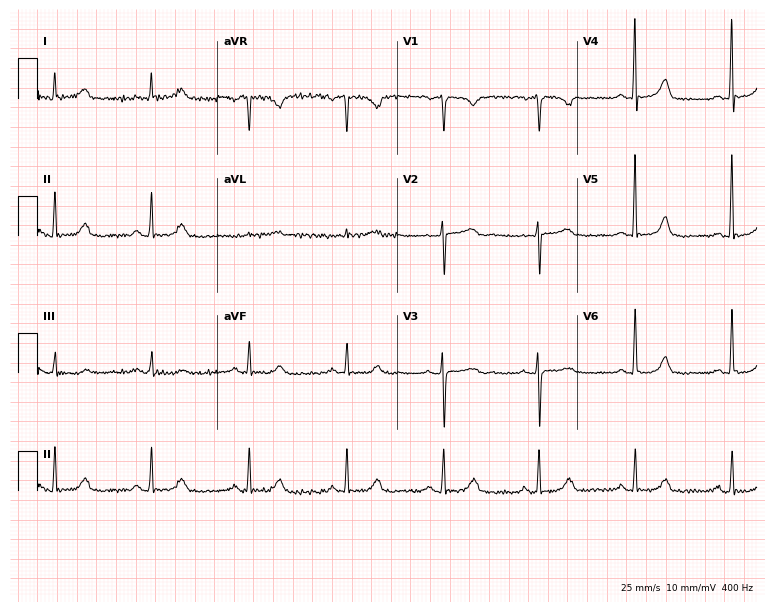
12-lead ECG from a 65-year-old male. Labelled as a normal ECG.